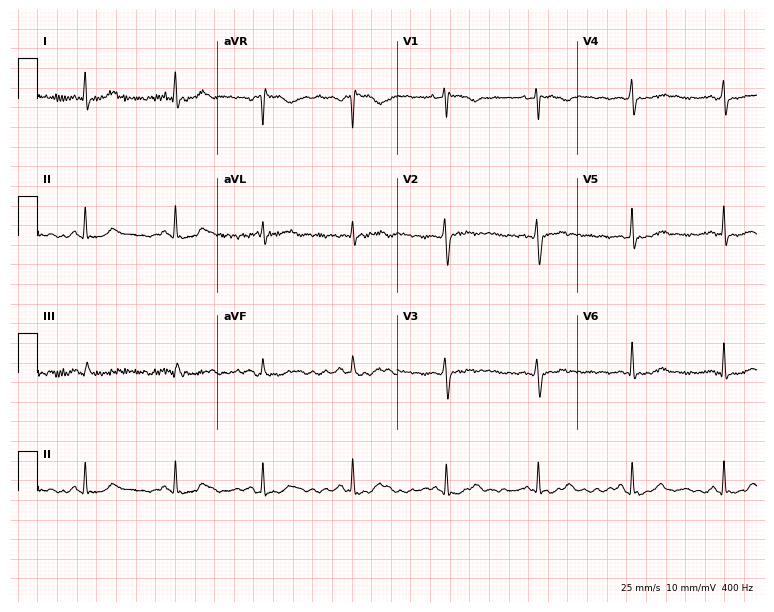
12-lead ECG (7.3-second recording at 400 Hz) from a 26-year-old female patient. Screened for six findings — first-degree AV block, right bundle branch block, left bundle branch block, sinus bradycardia, atrial fibrillation, sinus tachycardia — none is recorded.